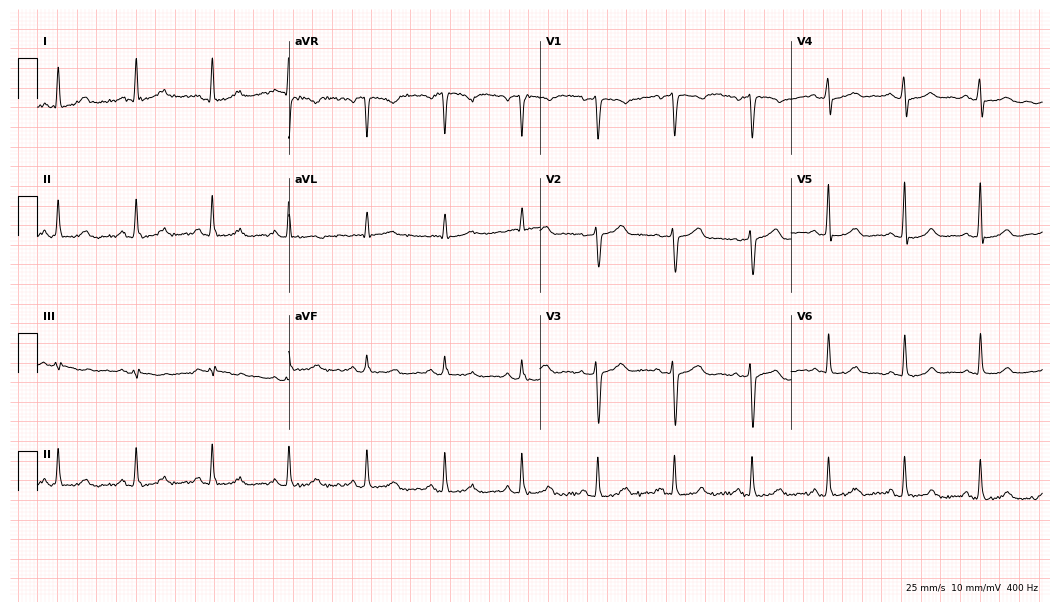
Electrocardiogram (10.2-second recording at 400 Hz), a 47-year-old female. Overall reading on record: normal ECG.